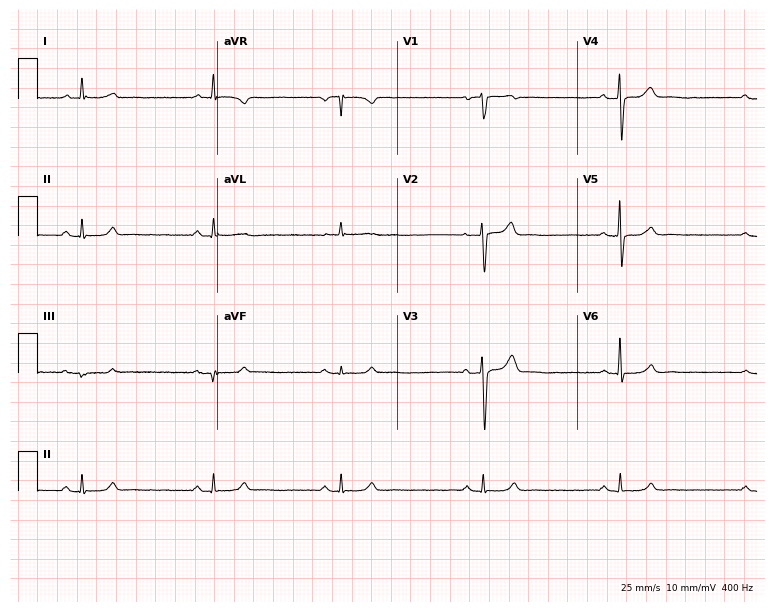
Resting 12-lead electrocardiogram. Patient: a 58-year-old male. The tracing shows sinus bradycardia (a sinus rate of 50 beats per minute or less).